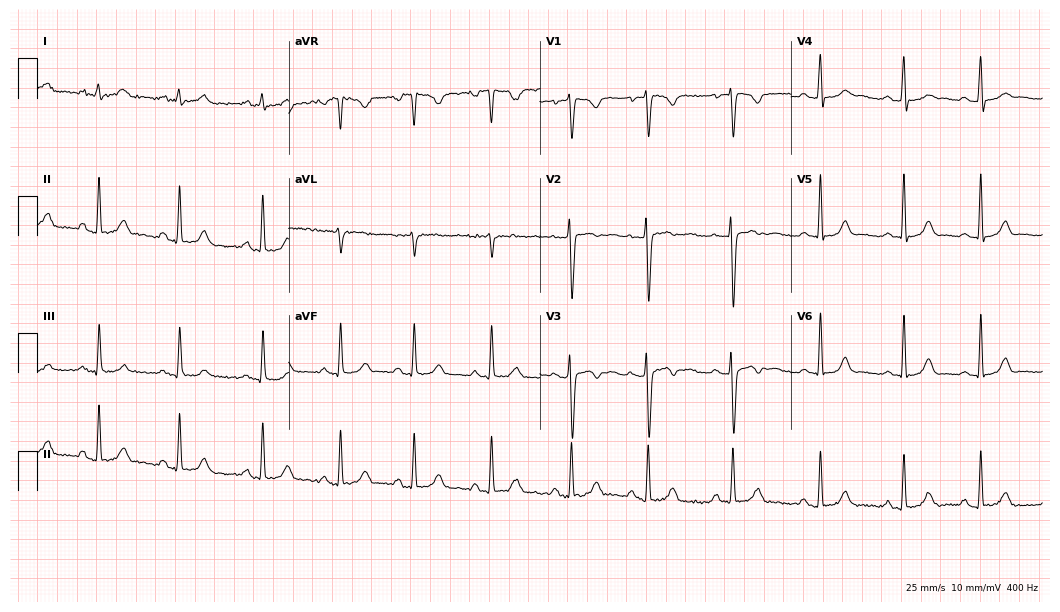
12-lead ECG (10.2-second recording at 400 Hz) from a woman, 20 years old. Screened for six findings — first-degree AV block, right bundle branch block, left bundle branch block, sinus bradycardia, atrial fibrillation, sinus tachycardia — none is recorded.